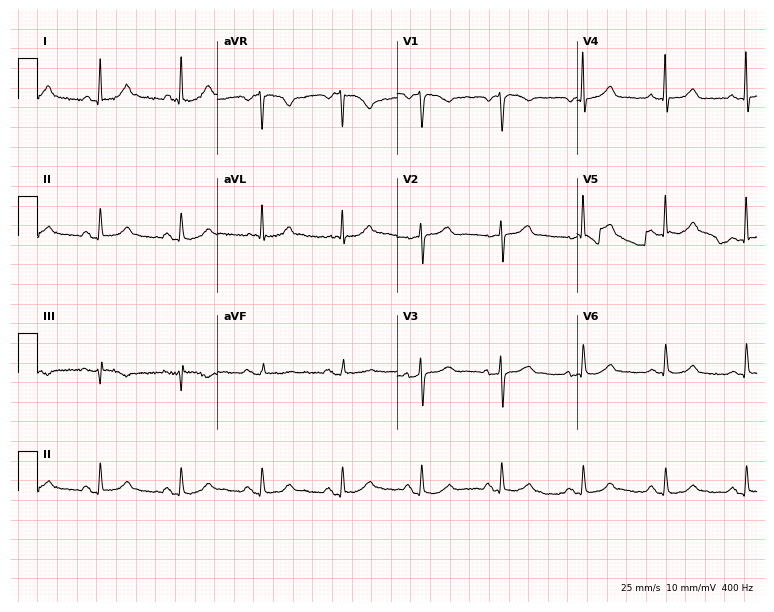
Electrocardiogram (7.3-second recording at 400 Hz), a woman, 58 years old. Overall reading on record: normal ECG.